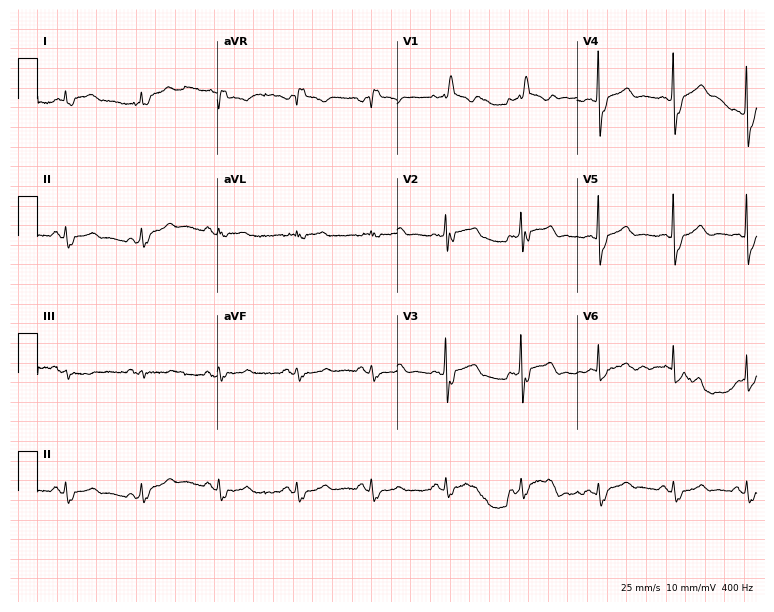
Standard 12-lead ECG recorded from a man, 77 years old (7.3-second recording at 400 Hz). The tracing shows right bundle branch block.